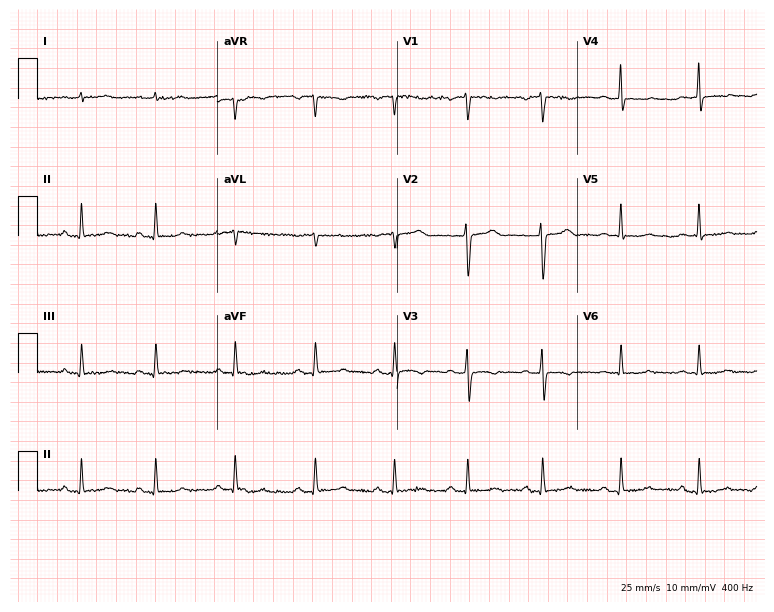
ECG (7.3-second recording at 400 Hz) — a 34-year-old woman. Screened for six findings — first-degree AV block, right bundle branch block, left bundle branch block, sinus bradycardia, atrial fibrillation, sinus tachycardia — none is recorded.